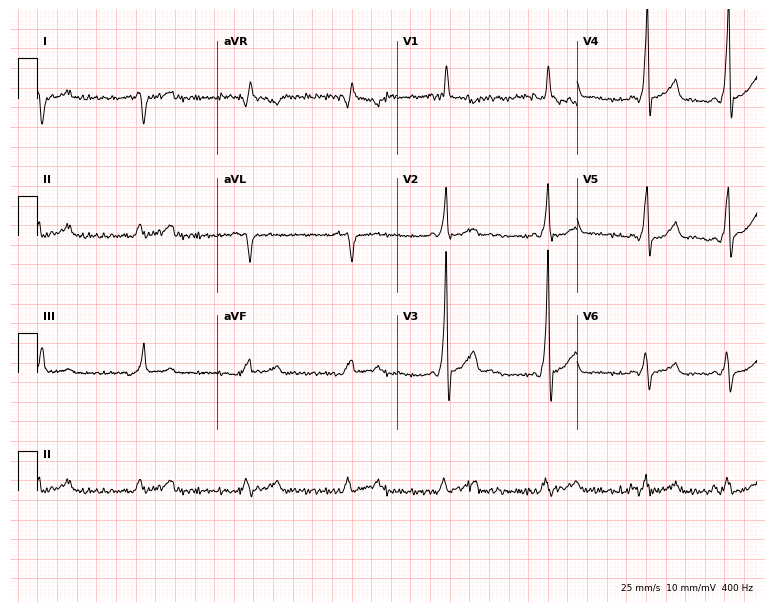
ECG — a 31-year-old male patient. Screened for six findings — first-degree AV block, right bundle branch block (RBBB), left bundle branch block (LBBB), sinus bradycardia, atrial fibrillation (AF), sinus tachycardia — none is recorded. Findings outside these six are not listed.